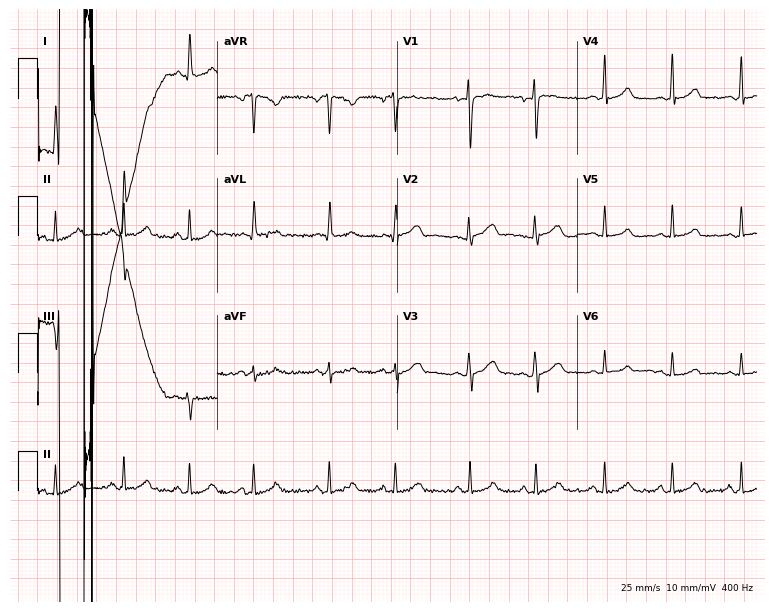
Electrocardiogram, a female, 35 years old. Of the six screened findings (first-degree AV block, right bundle branch block, left bundle branch block, sinus bradycardia, atrial fibrillation, sinus tachycardia), none is recorded. Only these six findings were labelled.